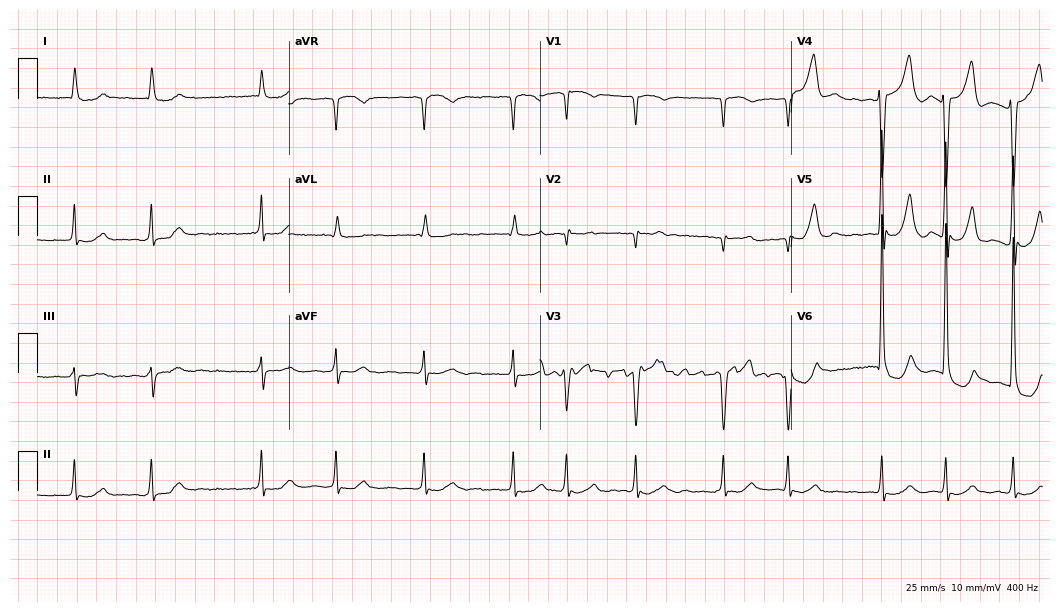
ECG (10.2-second recording at 400 Hz) — a male, 82 years old. Findings include atrial fibrillation.